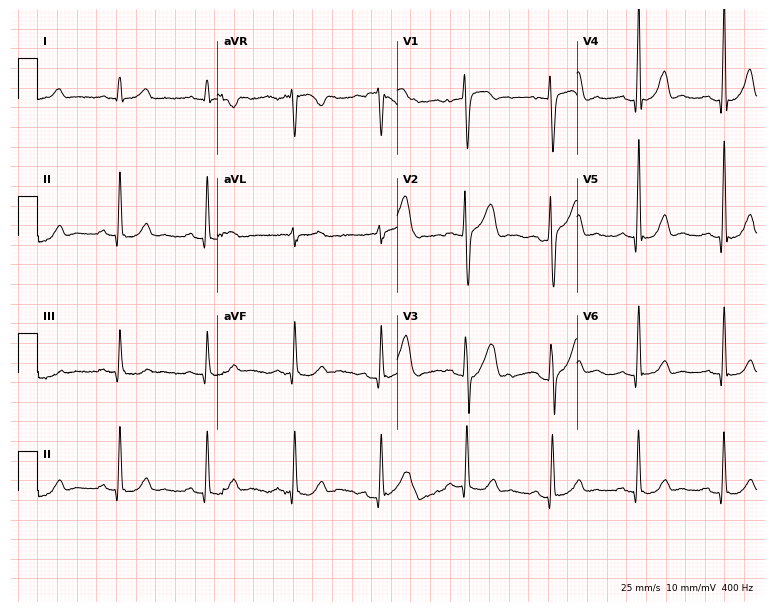
12-lead ECG from a 36-year-old male patient (7.3-second recording at 400 Hz). Recorded interpretation: within normal limits.